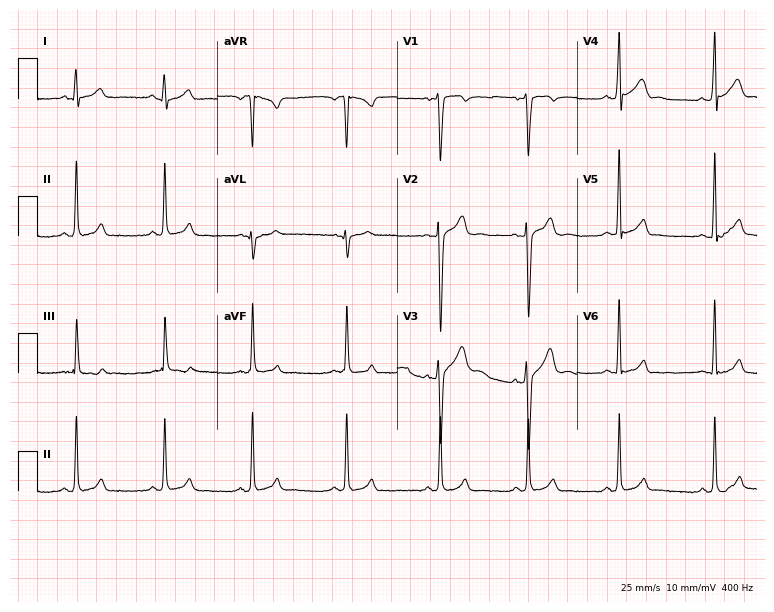
ECG (7.3-second recording at 400 Hz) — a 17-year-old male. Screened for six findings — first-degree AV block, right bundle branch block (RBBB), left bundle branch block (LBBB), sinus bradycardia, atrial fibrillation (AF), sinus tachycardia — none is recorded.